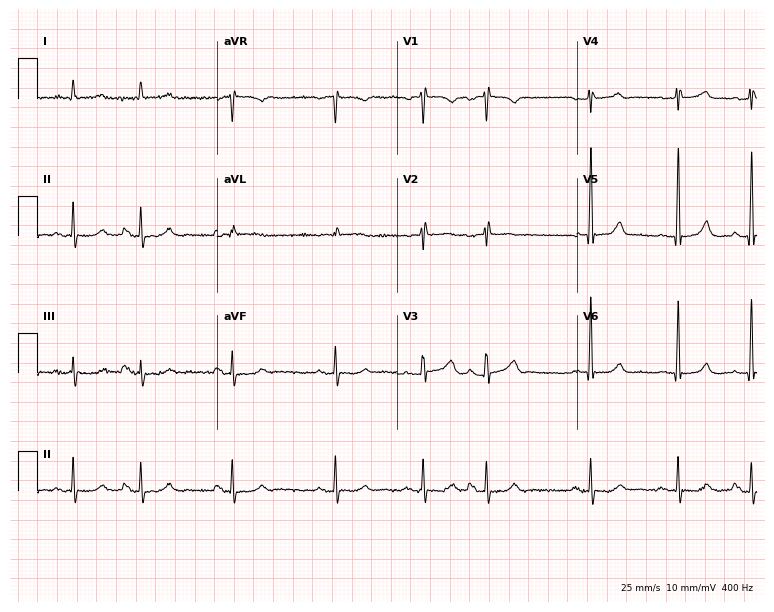
12-lead ECG from a 60-year-old female patient. No first-degree AV block, right bundle branch block (RBBB), left bundle branch block (LBBB), sinus bradycardia, atrial fibrillation (AF) or sinus tachycardia recorded for this tracing.